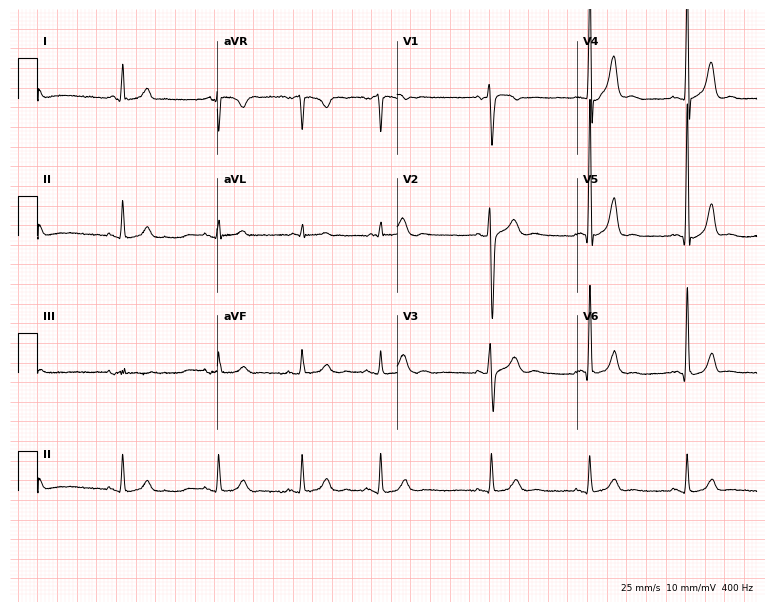
Resting 12-lead electrocardiogram (7.3-second recording at 400 Hz). Patient: a 42-year-old man. Read as a normal ECG.